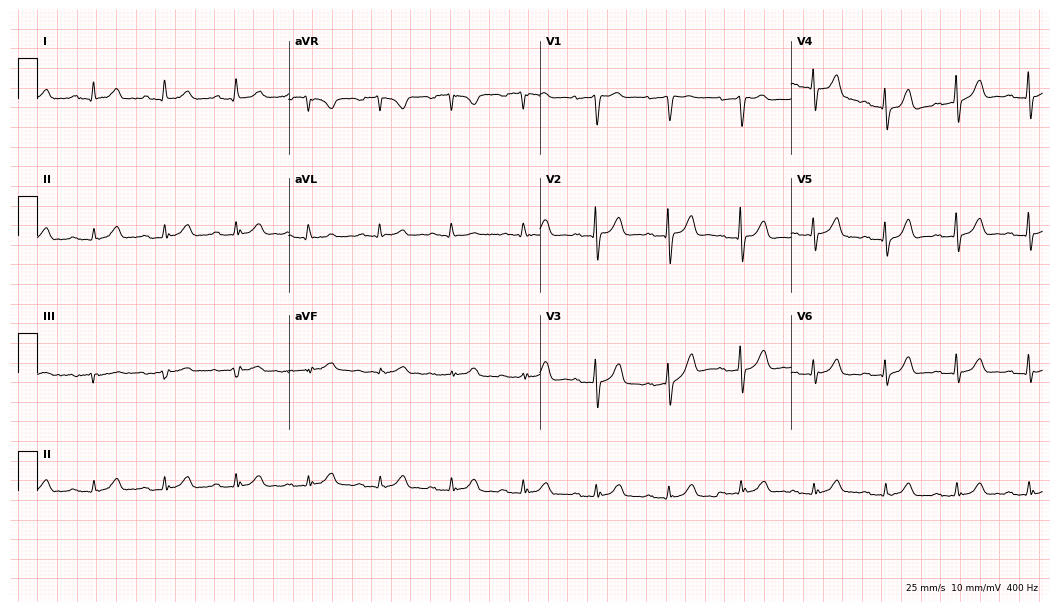
12-lead ECG from a female patient, 83 years old. Recorded interpretation: within normal limits.